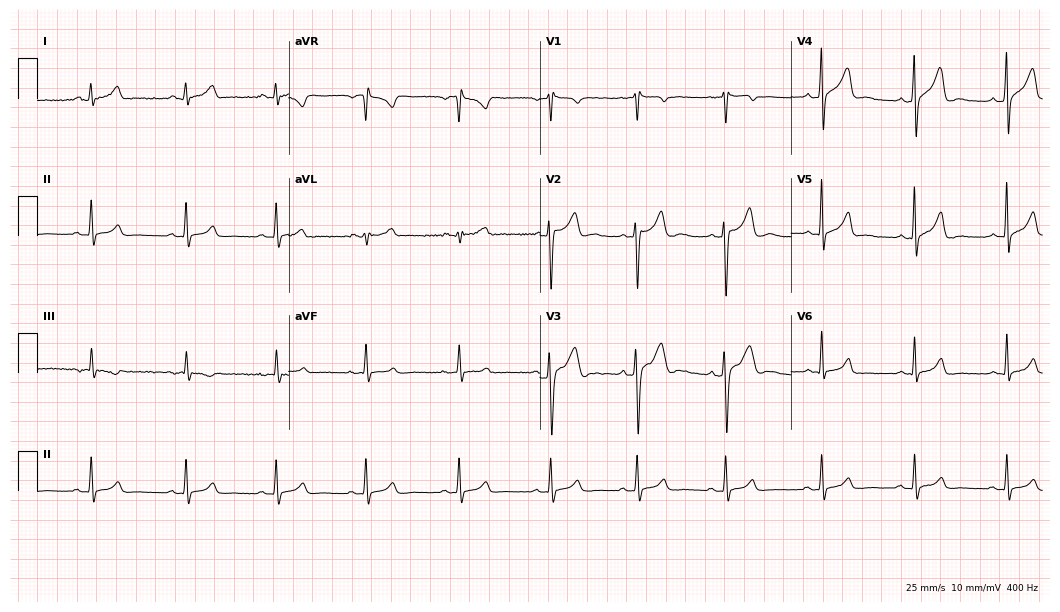
Standard 12-lead ECG recorded from a 23-year-old male patient (10.2-second recording at 400 Hz). Read as a normal ECG.